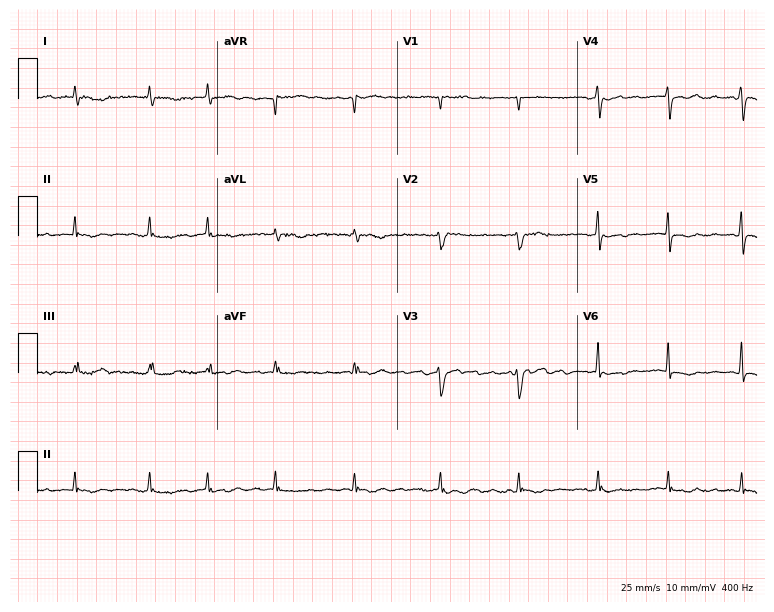
12-lead ECG (7.3-second recording at 400 Hz) from a 77-year-old female patient. Findings include atrial fibrillation.